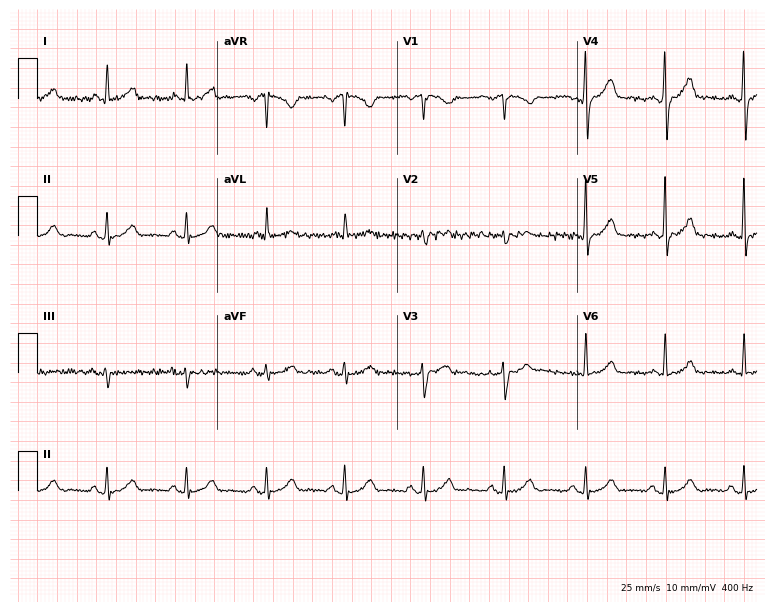
12-lead ECG (7.3-second recording at 400 Hz) from a 40-year-old female. Labelled as a normal ECG.